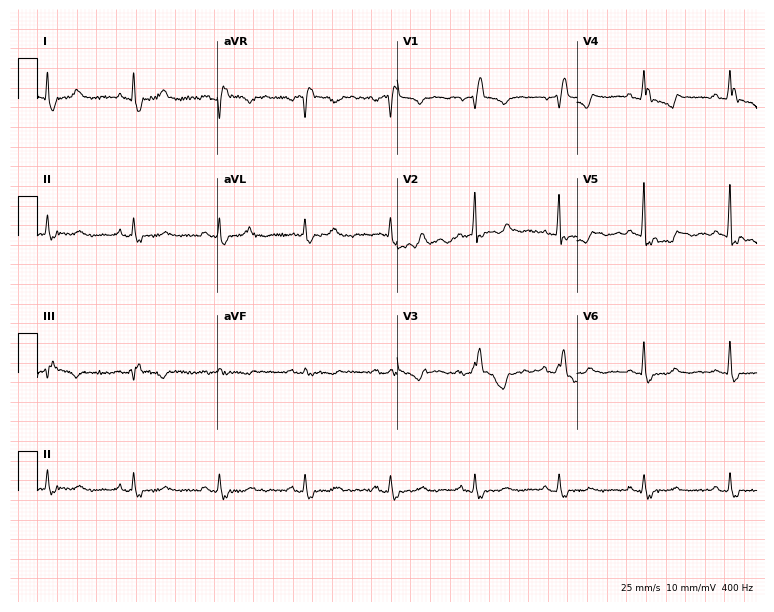
Standard 12-lead ECG recorded from a 76-year-old female patient. The tracing shows right bundle branch block.